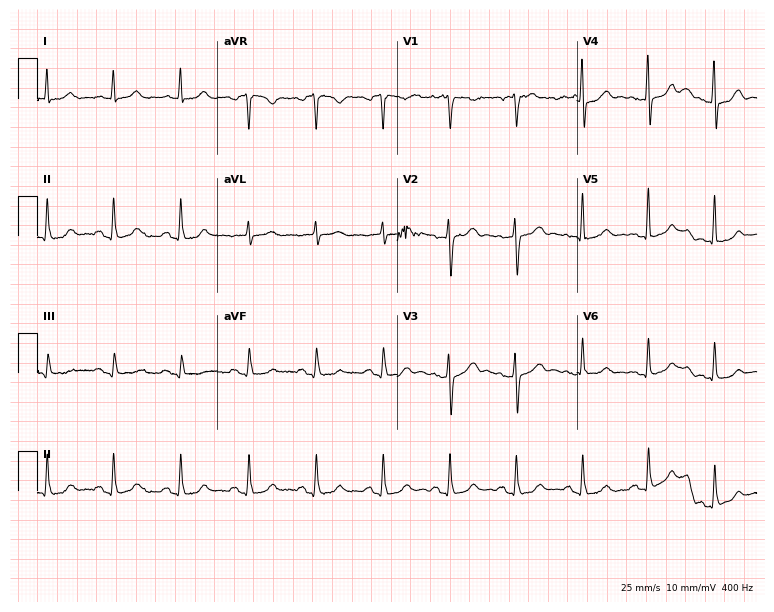
Electrocardiogram (7.3-second recording at 400 Hz), an 81-year-old male. Of the six screened findings (first-degree AV block, right bundle branch block (RBBB), left bundle branch block (LBBB), sinus bradycardia, atrial fibrillation (AF), sinus tachycardia), none is recorded.